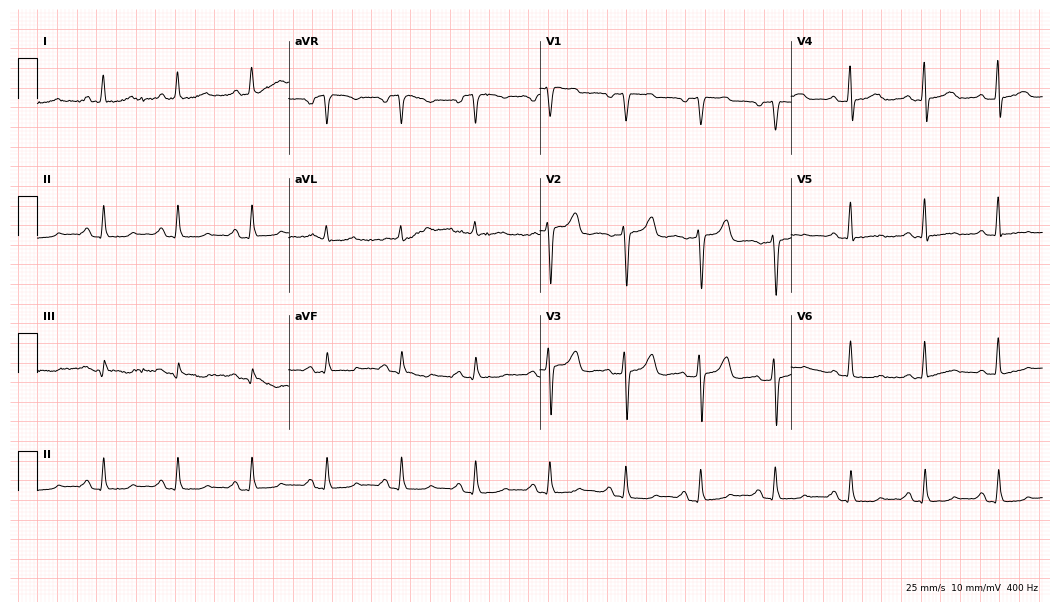
12-lead ECG from a 79-year-old female patient. Recorded interpretation: within normal limits.